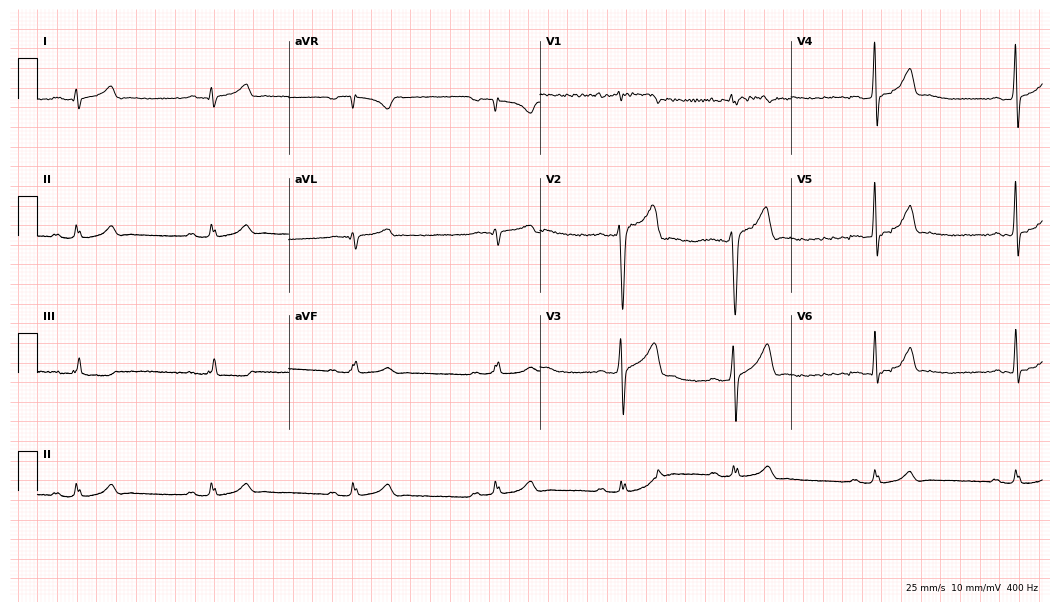
Resting 12-lead electrocardiogram (10.2-second recording at 400 Hz). Patient: a 28-year-old male. None of these six findings is recorded: first-degree AV block, right bundle branch block, left bundle branch block, sinus bradycardia, atrial fibrillation, sinus tachycardia.